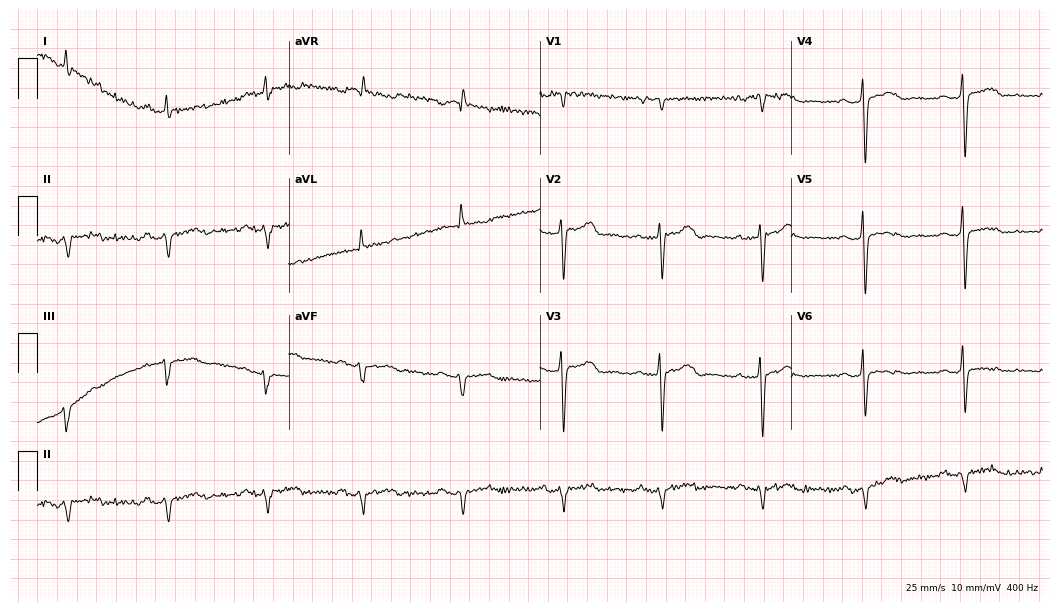
Standard 12-lead ECG recorded from a man, 66 years old. None of these six findings is recorded: first-degree AV block, right bundle branch block (RBBB), left bundle branch block (LBBB), sinus bradycardia, atrial fibrillation (AF), sinus tachycardia.